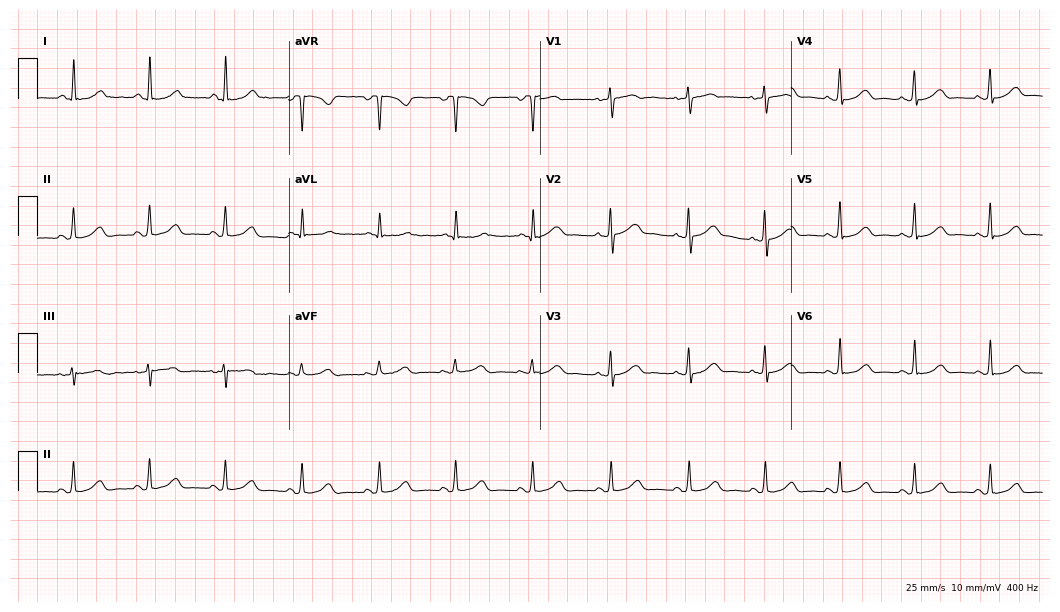
12-lead ECG from a 59-year-old woman. Screened for six findings — first-degree AV block, right bundle branch block, left bundle branch block, sinus bradycardia, atrial fibrillation, sinus tachycardia — none is recorded.